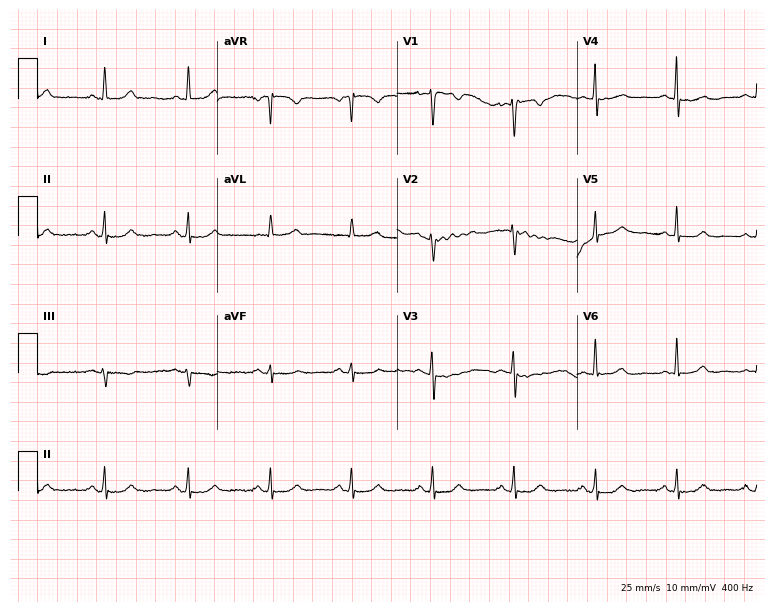
ECG (7.3-second recording at 400 Hz) — a female, 53 years old. Screened for six findings — first-degree AV block, right bundle branch block (RBBB), left bundle branch block (LBBB), sinus bradycardia, atrial fibrillation (AF), sinus tachycardia — none is recorded.